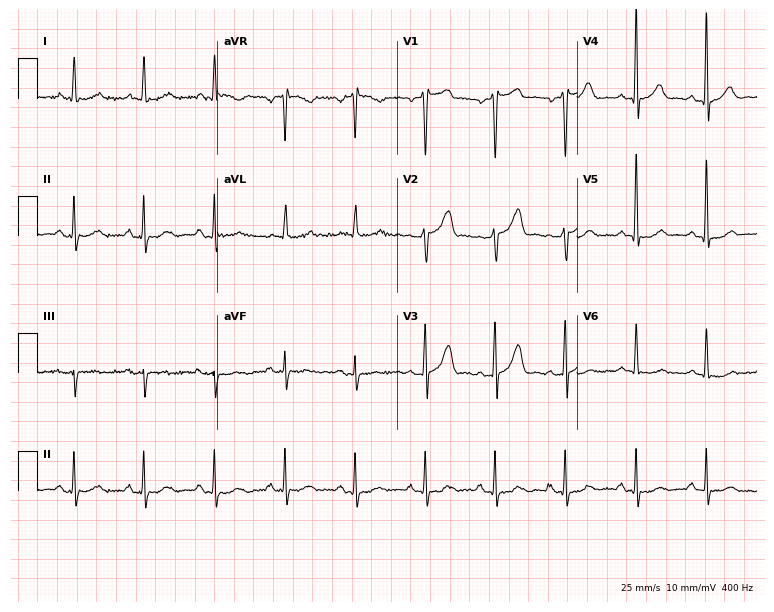
Electrocardiogram, a male patient, 63 years old. Of the six screened findings (first-degree AV block, right bundle branch block, left bundle branch block, sinus bradycardia, atrial fibrillation, sinus tachycardia), none is recorded.